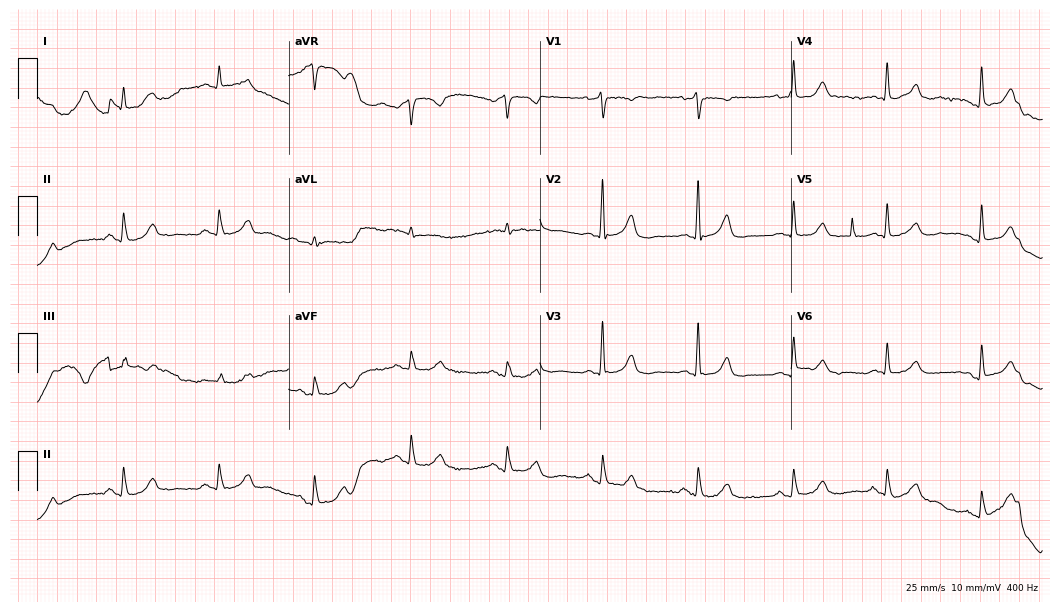
Electrocardiogram (10.2-second recording at 400 Hz), a woman, 84 years old. Overall reading on record: normal ECG.